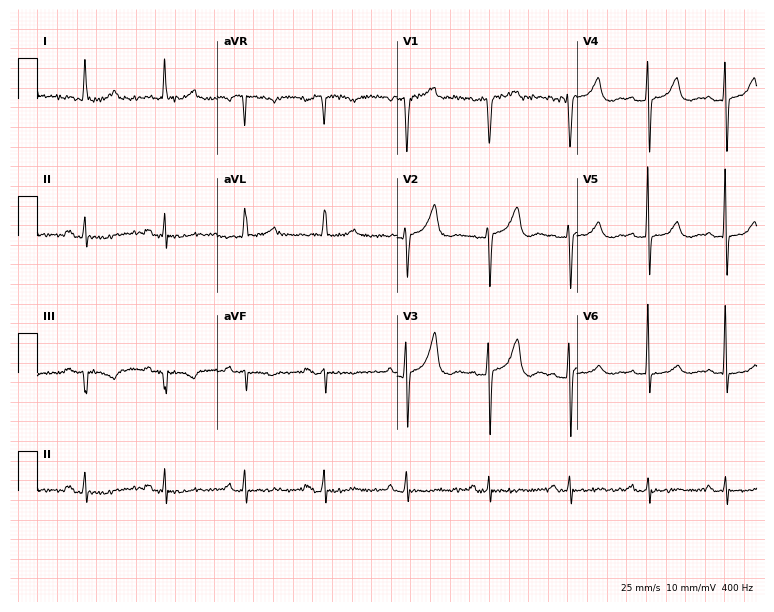
12-lead ECG from a female, 71 years old. No first-degree AV block, right bundle branch block (RBBB), left bundle branch block (LBBB), sinus bradycardia, atrial fibrillation (AF) or sinus tachycardia recorded for this tracing.